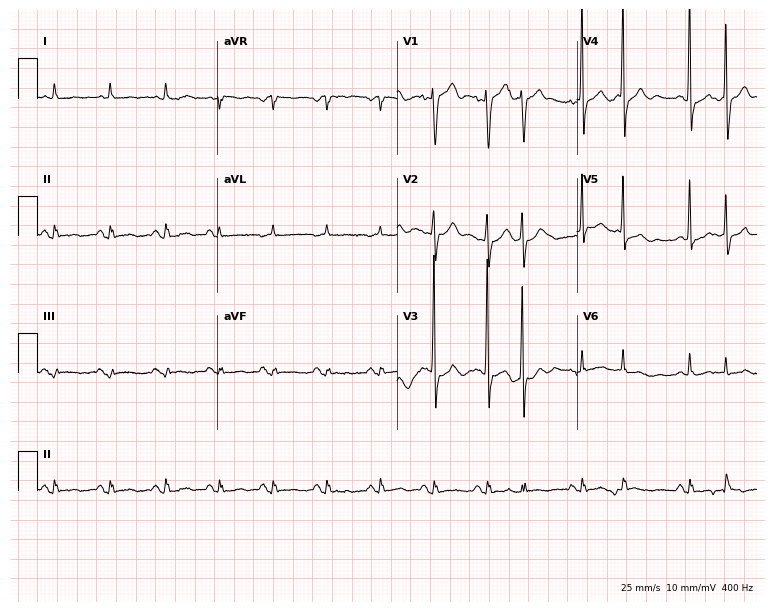
Resting 12-lead electrocardiogram. Patient: a woman, 81 years old. The tracing shows sinus tachycardia (a sinus rate of 100 beats per minute or more).